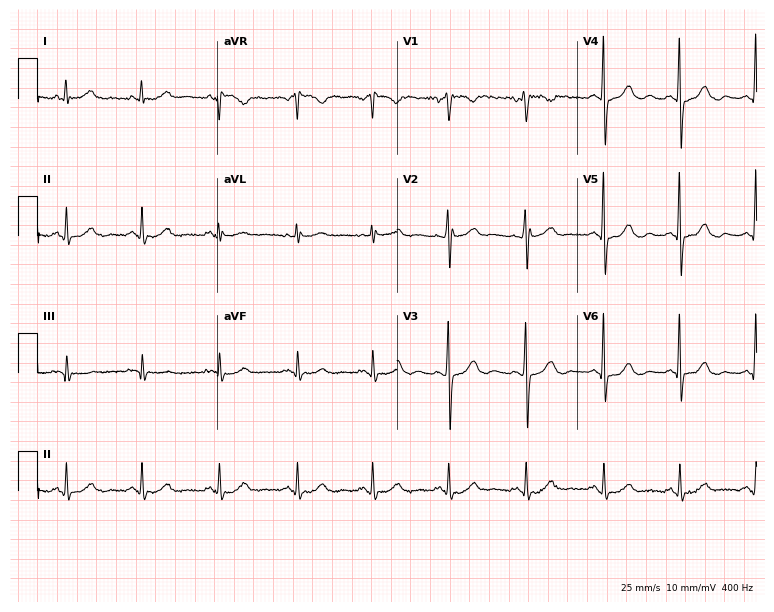
12-lead ECG (7.3-second recording at 400 Hz) from a 57-year-old woman. Screened for six findings — first-degree AV block, right bundle branch block, left bundle branch block, sinus bradycardia, atrial fibrillation, sinus tachycardia — none is recorded. Only these six findings were labelled.